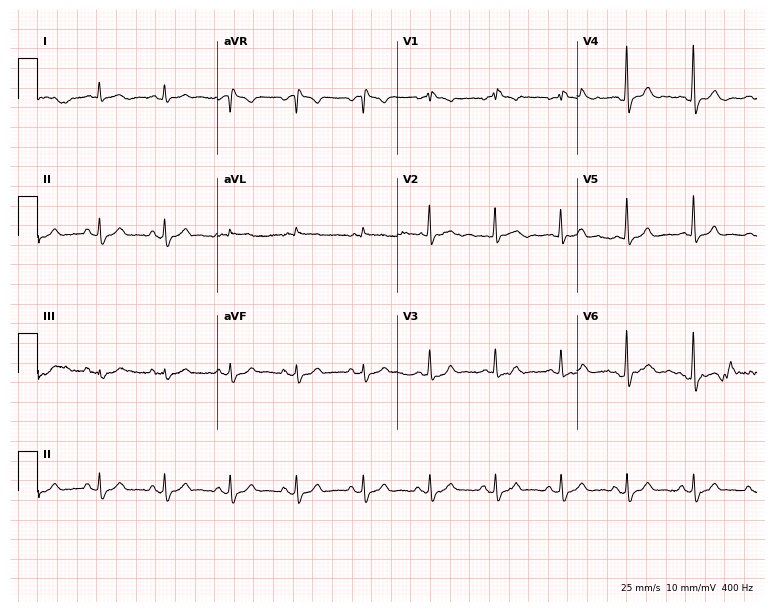
12-lead ECG from a male, 65 years old (7.3-second recording at 400 Hz). No first-degree AV block, right bundle branch block, left bundle branch block, sinus bradycardia, atrial fibrillation or sinus tachycardia recorded for this tracing.